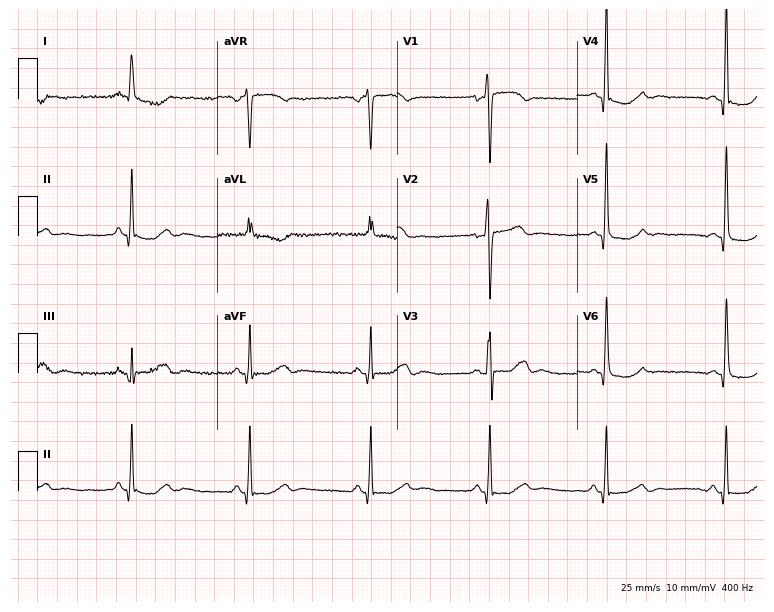
Electrocardiogram (7.3-second recording at 400 Hz), a woman, 51 years old. Overall reading on record: normal ECG.